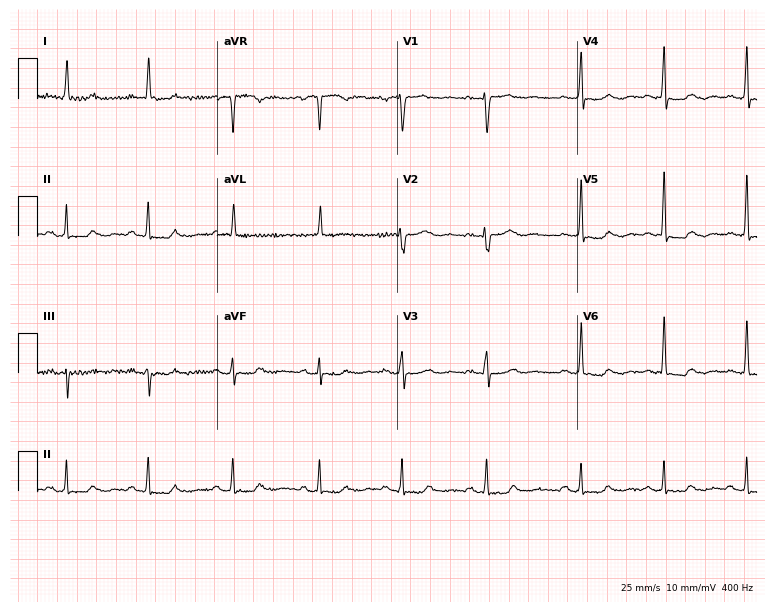
ECG (7.3-second recording at 400 Hz) — a 68-year-old female. Screened for six findings — first-degree AV block, right bundle branch block (RBBB), left bundle branch block (LBBB), sinus bradycardia, atrial fibrillation (AF), sinus tachycardia — none is recorded. Only these six findings were labelled.